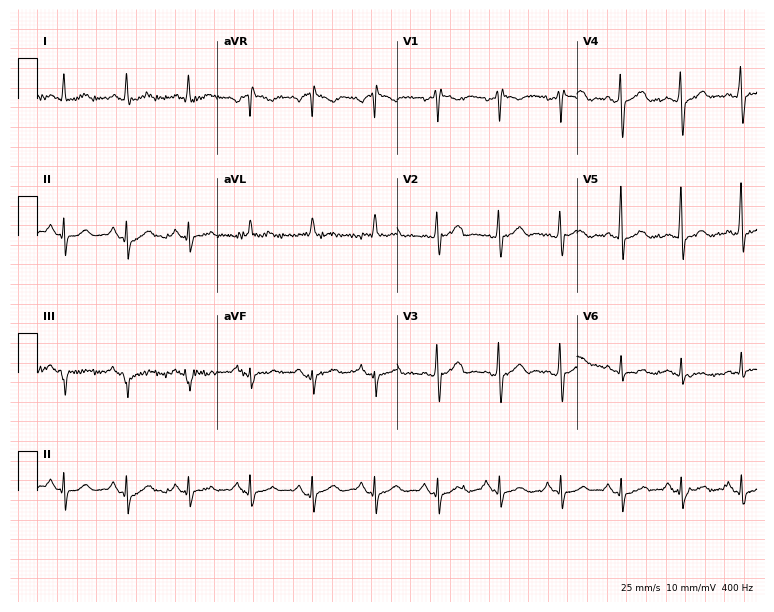
Electrocardiogram, a man, 70 years old. Of the six screened findings (first-degree AV block, right bundle branch block, left bundle branch block, sinus bradycardia, atrial fibrillation, sinus tachycardia), none is recorded. Only these six findings were labelled.